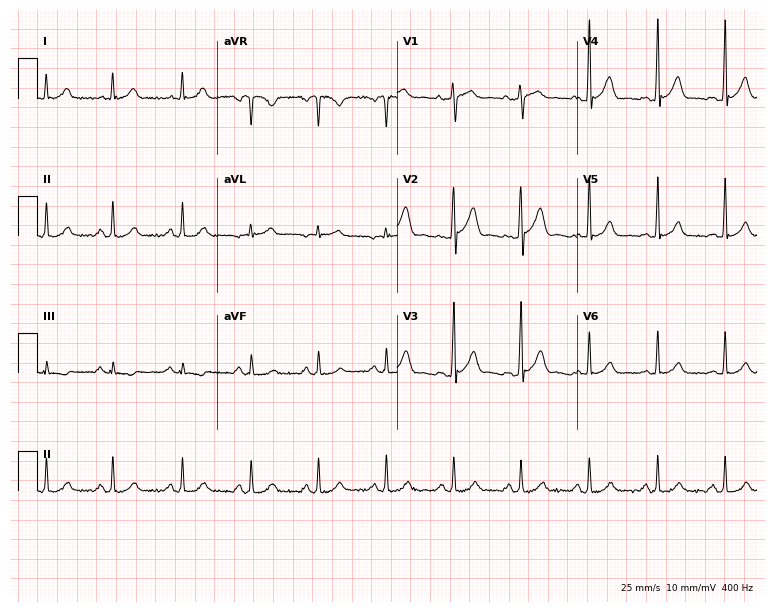
Standard 12-lead ECG recorded from a male patient, 58 years old (7.3-second recording at 400 Hz). Read as a normal ECG.